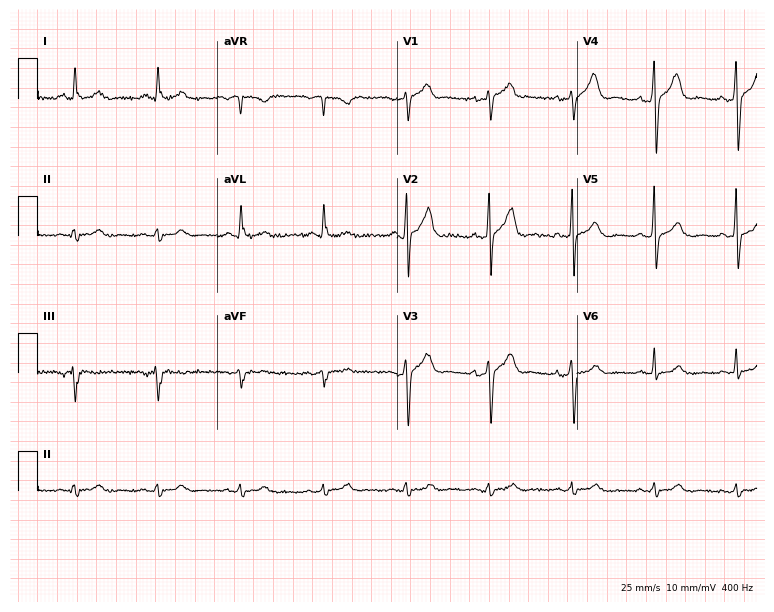
ECG (7.3-second recording at 400 Hz) — a 62-year-old man. Labelled as a normal ECG.